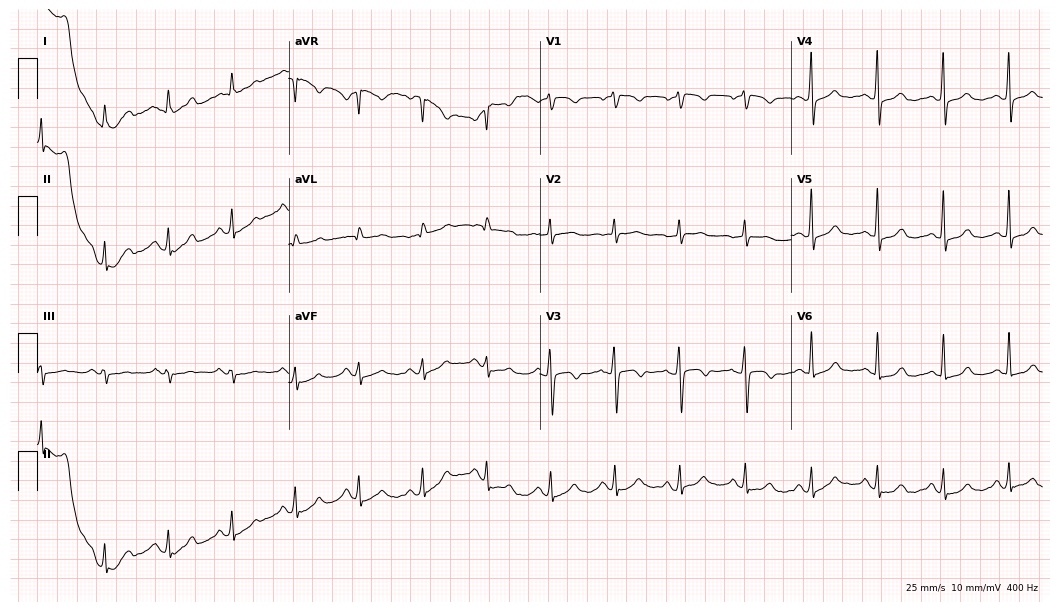
12-lead ECG (10.2-second recording at 400 Hz) from a female, 55 years old. Labelled as a normal ECG.